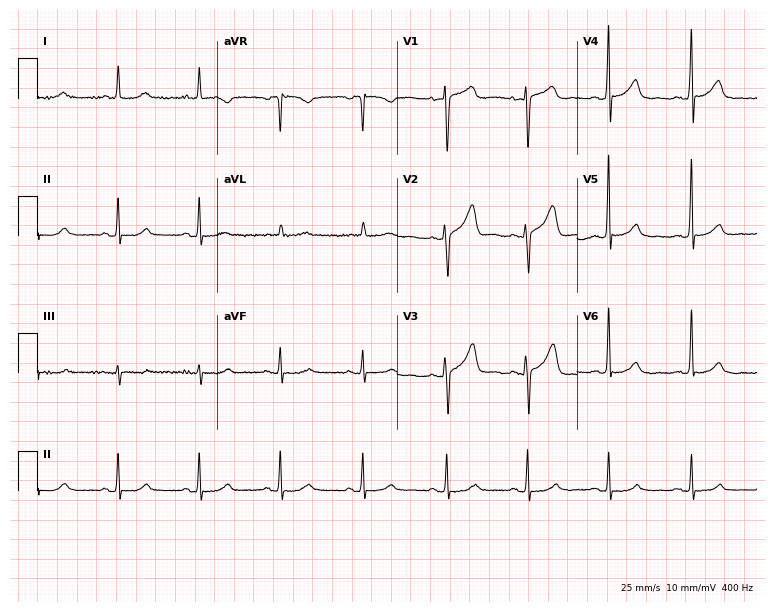
12-lead ECG from a female, 79 years old (7.3-second recording at 400 Hz). No first-degree AV block, right bundle branch block (RBBB), left bundle branch block (LBBB), sinus bradycardia, atrial fibrillation (AF) or sinus tachycardia recorded for this tracing. Other findings, if any, are not listed.